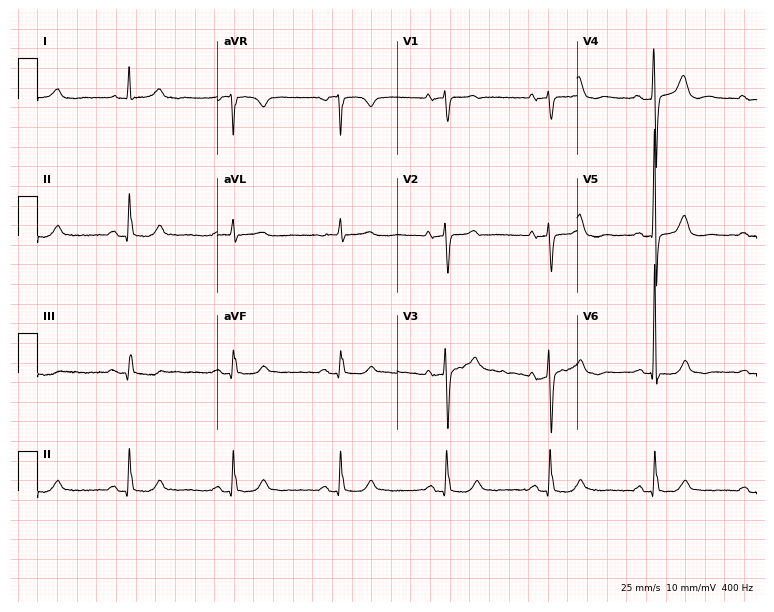
12-lead ECG from a female patient, 77 years old. Screened for six findings — first-degree AV block, right bundle branch block, left bundle branch block, sinus bradycardia, atrial fibrillation, sinus tachycardia — none is recorded. Findings outside these six are not listed.